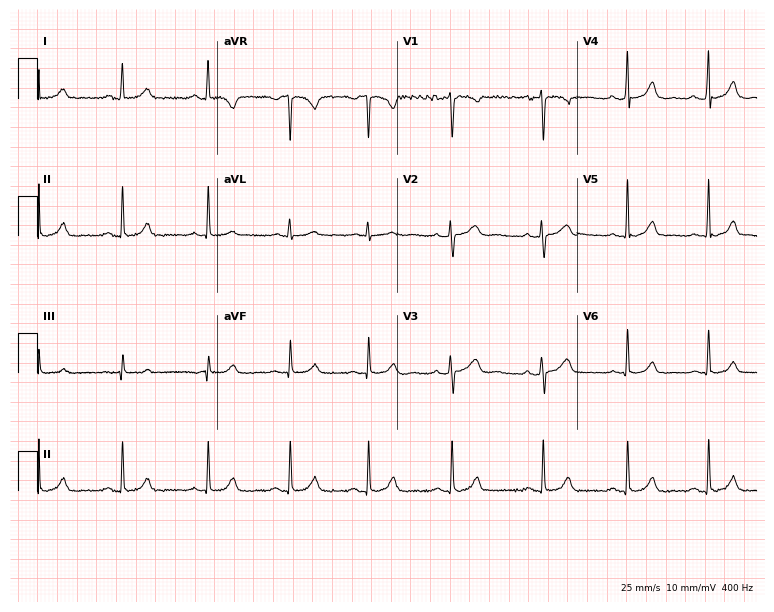
ECG — a woman, 21 years old. Screened for six findings — first-degree AV block, right bundle branch block (RBBB), left bundle branch block (LBBB), sinus bradycardia, atrial fibrillation (AF), sinus tachycardia — none is recorded. Findings outside these six are not listed.